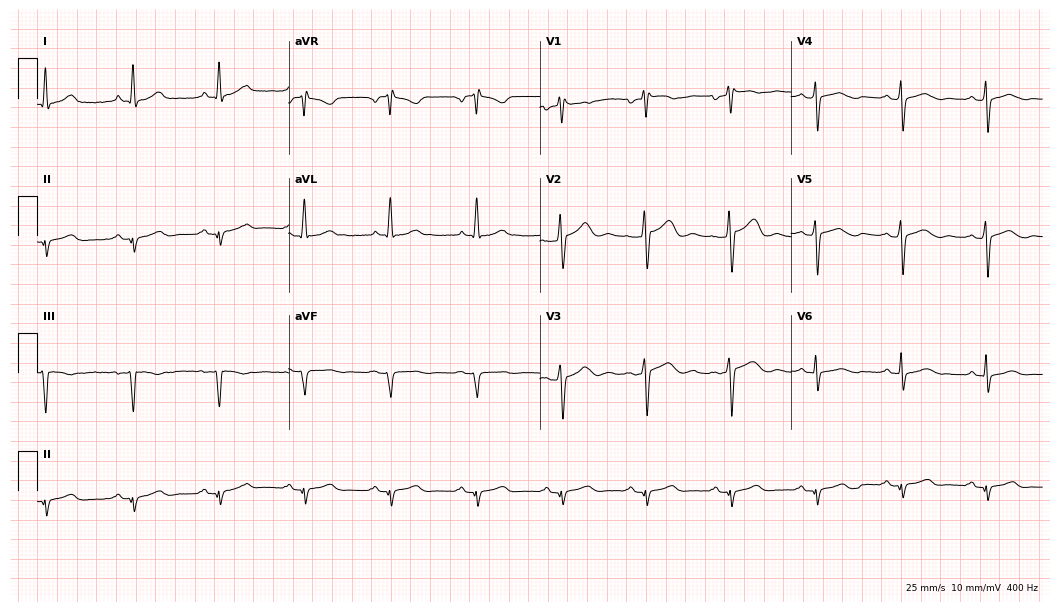
Resting 12-lead electrocardiogram (10.2-second recording at 400 Hz). Patient: a male, 54 years old. None of these six findings is recorded: first-degree AV block, right bundle branch block, left bundle branch block, sinus bradycardia, atrial fibrillation, sinus tachycardia.